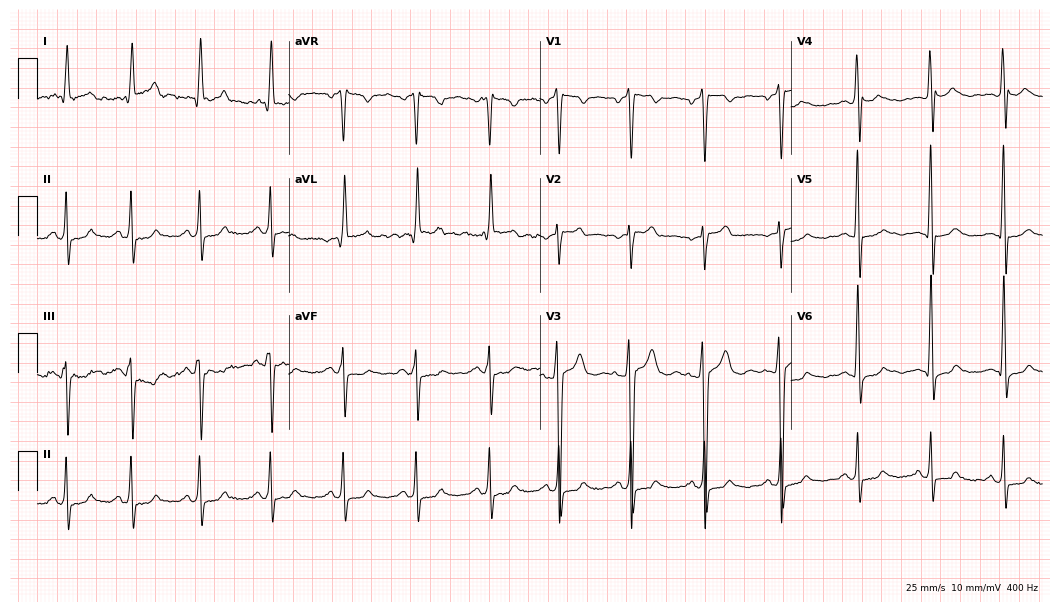
Resting 12-lead electrocardiogram. Patient: a 60-year-old man. Read as a normal ECG.